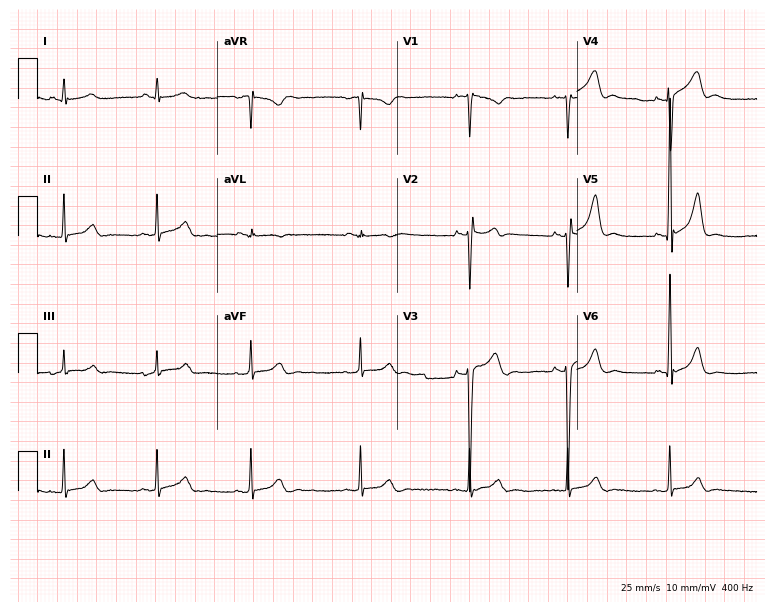
ECG — a 30-year-old male. Labelled as a normal ECG.